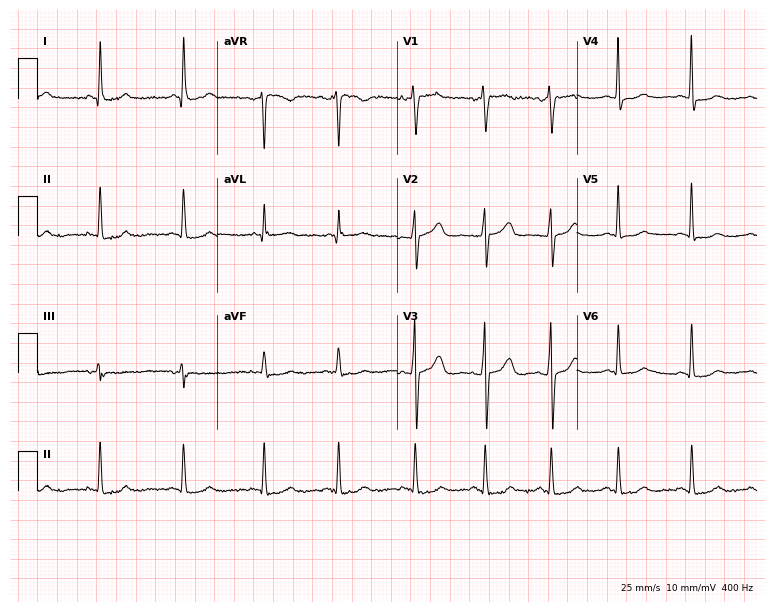
ECG — a 49-year-old female patient. Screened for six findings — first-degree AV block, right bundle branch block, left bundle branch block, sinus bradycardia, atrial fibrillation, sinus tachycardia — none is recorded. Only these six findings were labelled.